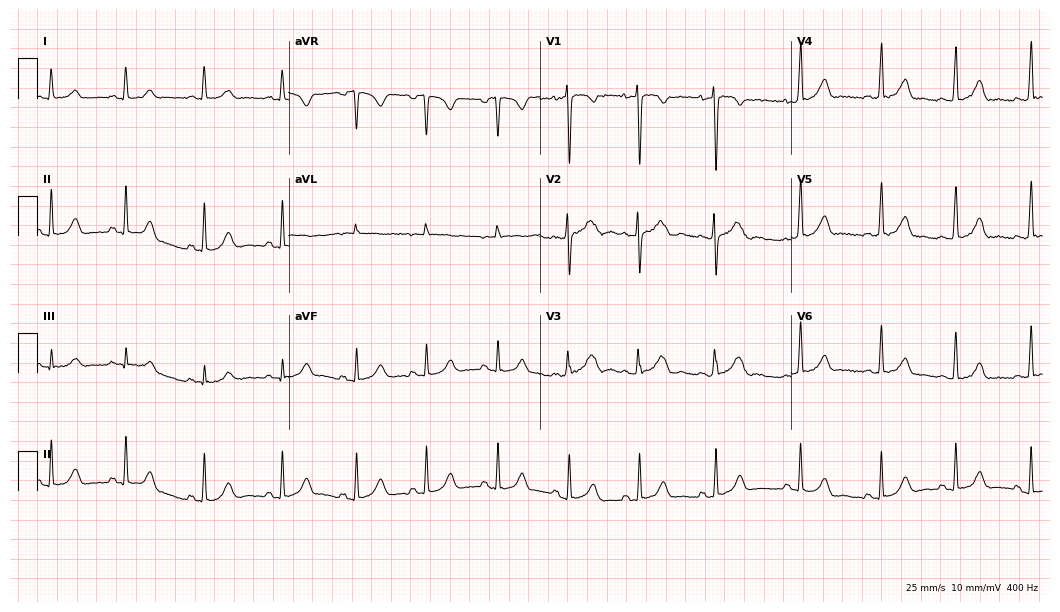
Electrocardiogram (10.2-second recording at 400 Hz), a 20-year-old woman. Overall reading on record: normal ECG.